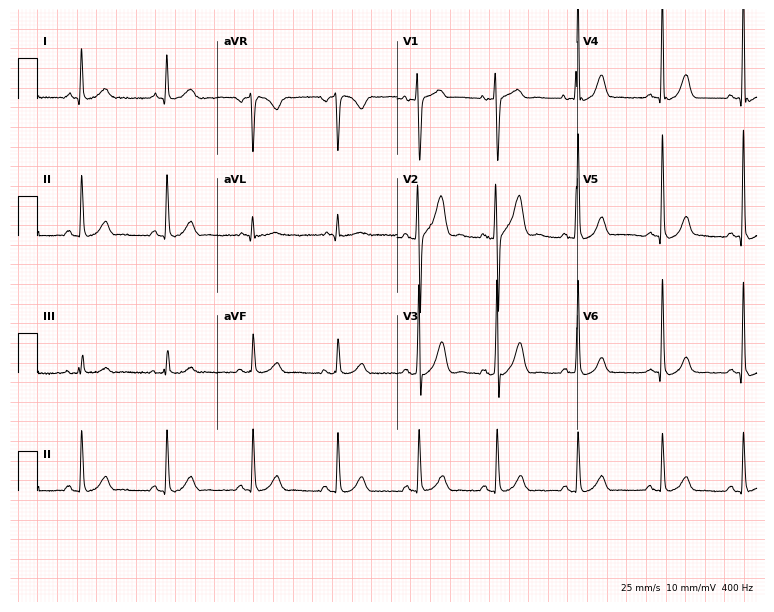
12-lead ECG (7.3-second recording at 400 Hz) from a male patient, 39 years old. Screened for six findings — first-degree AV block, right bundle branch block (RBBB), left bundle branch block (LBBB), sinus bradycardia, atrial fibrillation (AF), sinus tachycardia — none is recorded.